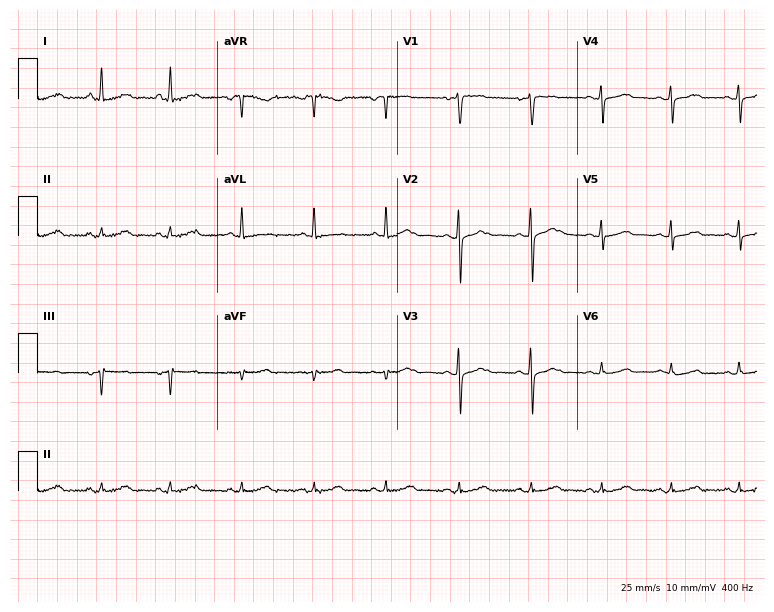
Standard 12-lead ECG recorded from a woman, 53 years old (7.3-second recording at 400 Hz). None of these six findings is recorded: first-degree AV block, right bundle branch block (RBBB), left bundle branch block (LBBB), sinus bradycardia, atrial fibrillation (AF), sinus tachycardia. Other findings, if any, are not listed.